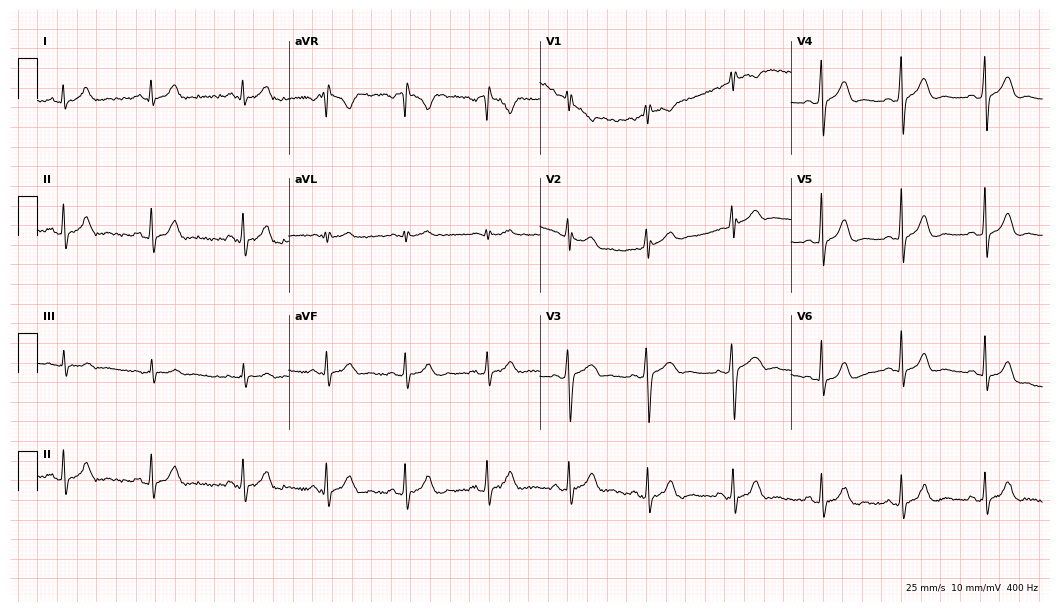
12-lead ECG from a female patient, 38 years old. Recorded interpretation: within normal limits.